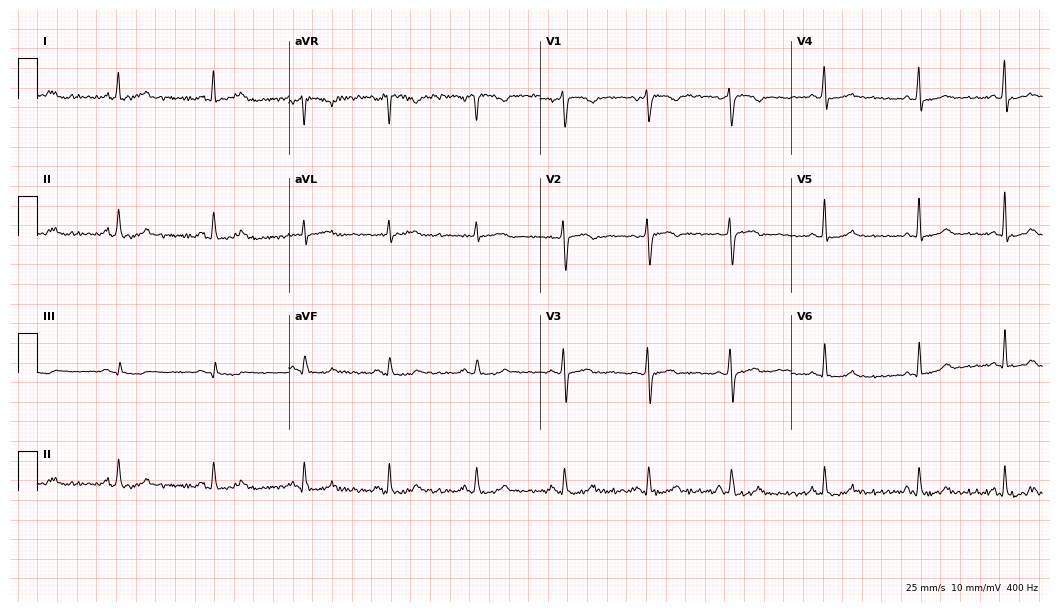
Electrocardiogram, a 40-year-old female patient. Overall reading on record: normal ECG.